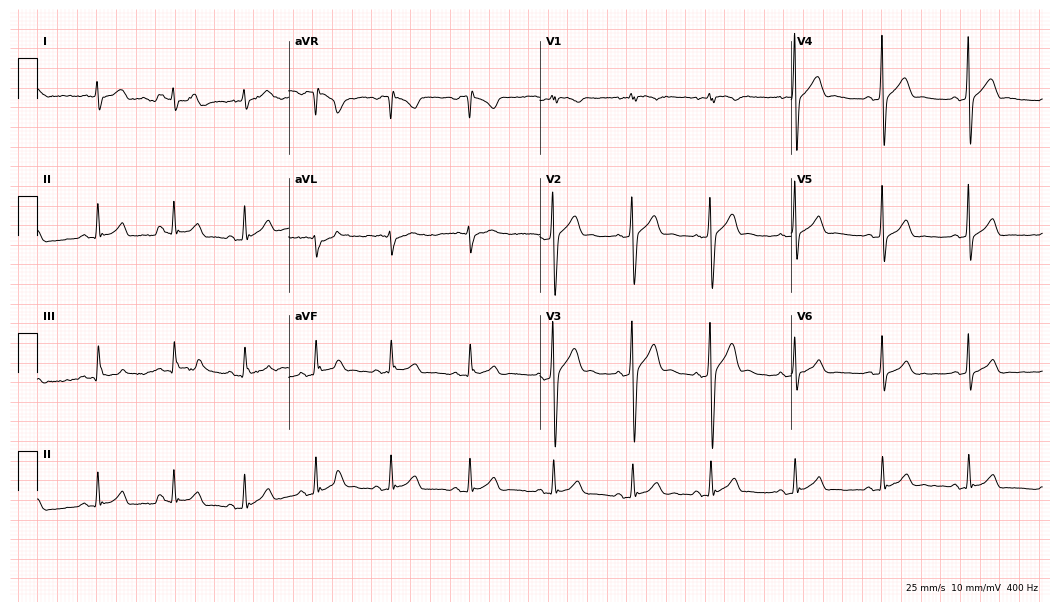
Electrocardiogram, a 20-year-old male patient. Overall reading on record: normal ECG.